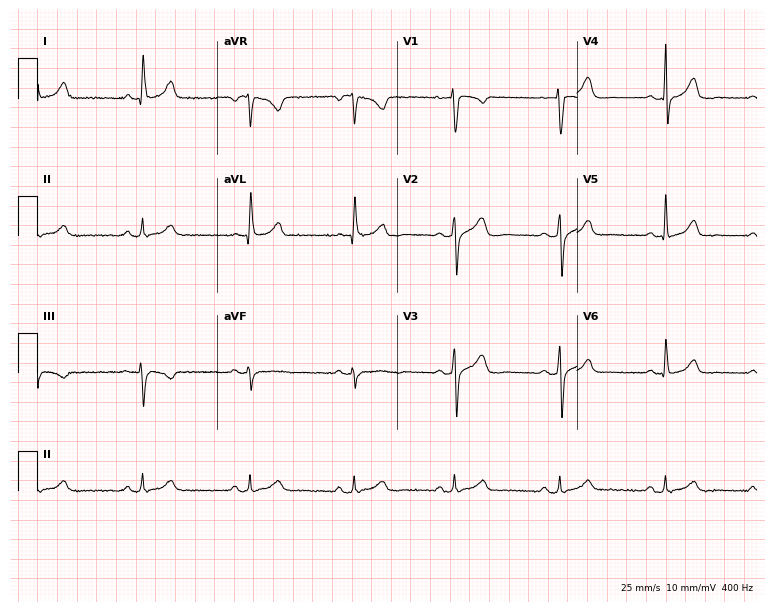
ECG — a 44-year-old female patient. Labelled as a normal ECG.